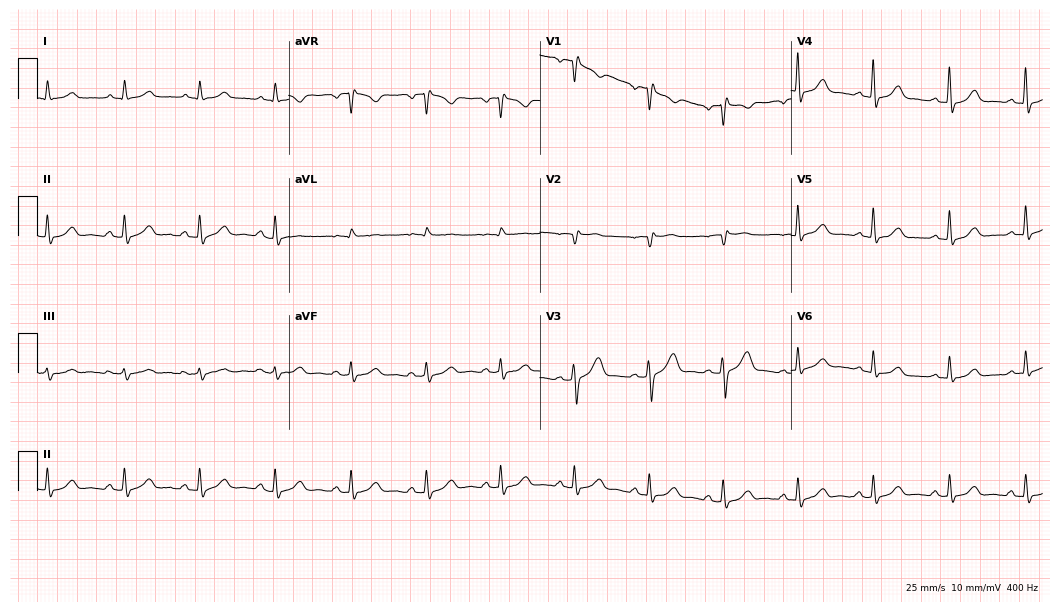
12-lead ECG from a female patient, 68 years old (10.2-second recording at 400 Hz). Recorded interpretation: within normal limits.